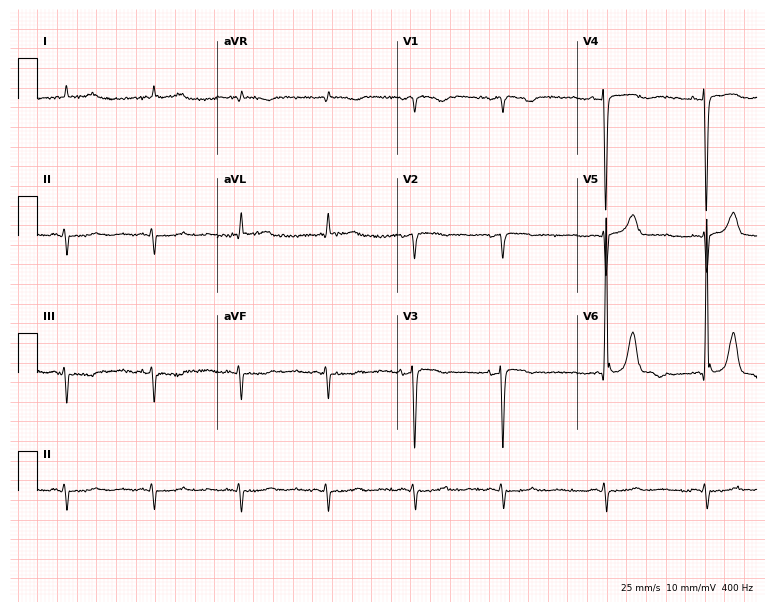
ECG — an 81-year-old female patient. Screened for six findings — first-degree AV block, right bundle branch block, left bundle branch block, sinus bradycardia, atrial fibrillation, sinus tachycardia — none is recorded.